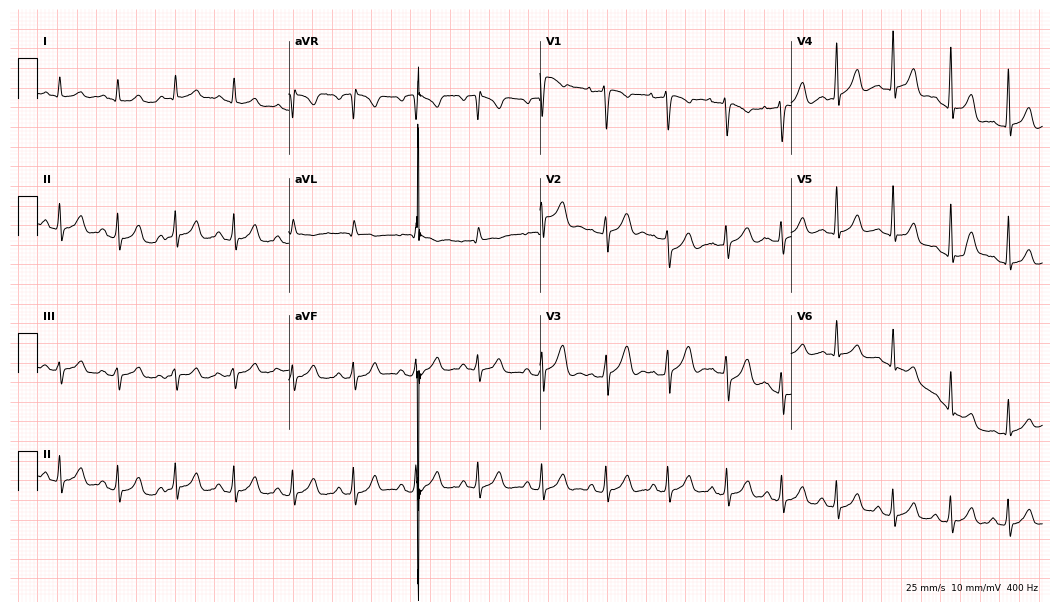
12-lead ECG from a 21-year-old female. Screened for six findings — first-degree AV block, right bundle branch block, left bundle branch block, sinus bradycardia, atrial fibrillation, sinus tachycardia — none is recorded. Findings outside these six are not listed.